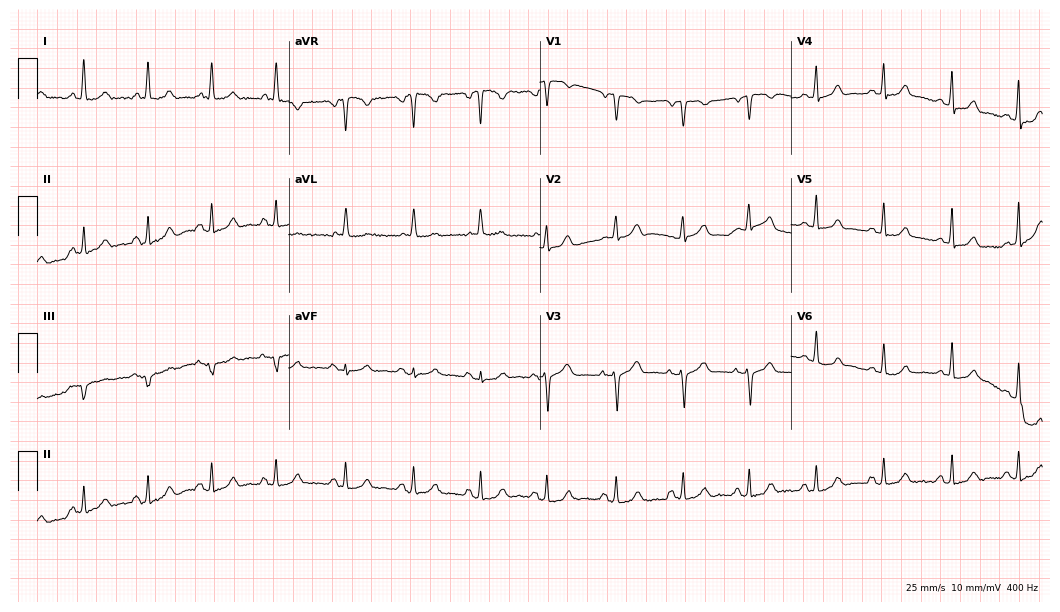
12-lead ECG from a 67-year-old woman. Recorded interpretation: within normal limits.